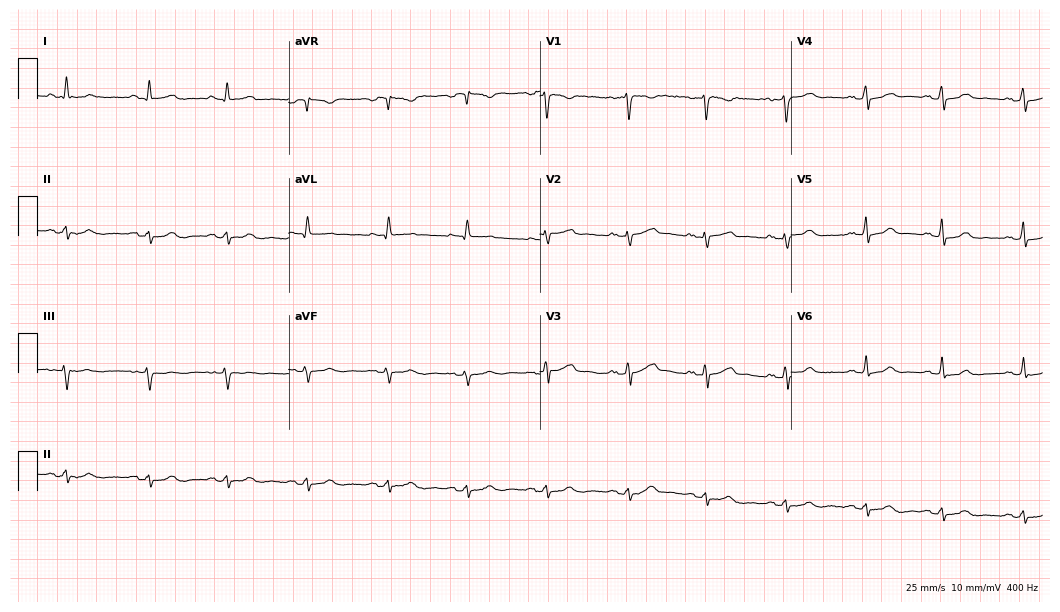
12-lead ECG from a female, 38 years old (10.2-second recording at 400 Hz). Recorded interpretation: within normal limits.